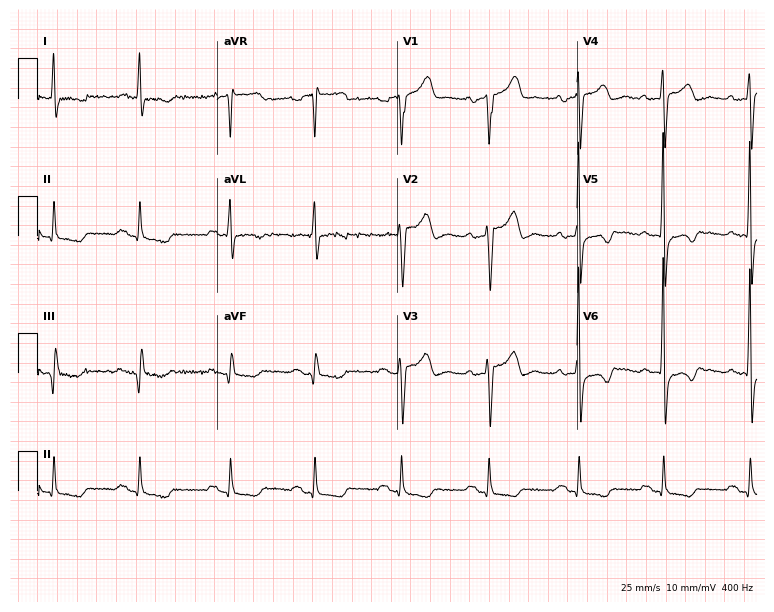
12-lead ECG (7.3-second recording at 400 Hz) from a 72-year-old male. Screened for six findings — first-degree AV block, right bundle branch block, left bundle branch block, sinus bradycardia, atrial fibrillation, sinus tachycardia — none is recorded. Only these six findings were labelled.